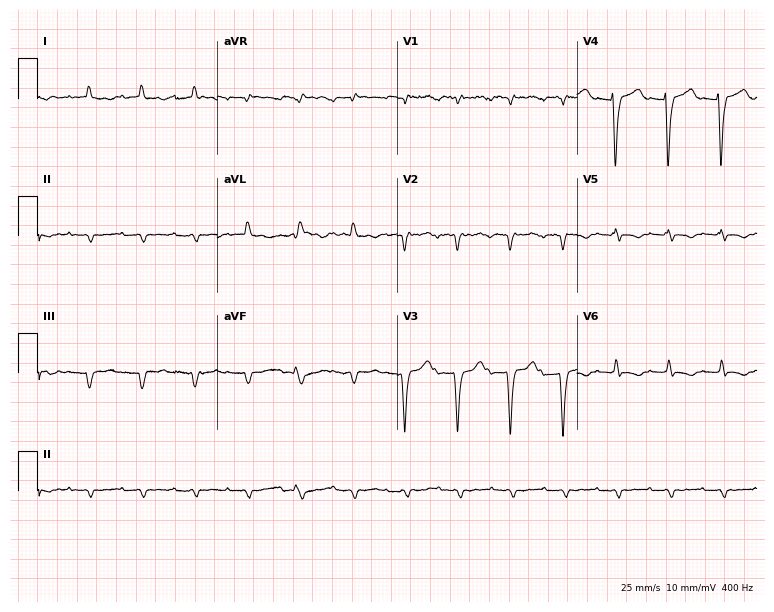
Electrocardiogram (7.3-second recording at 400 Hz), a male patient, 79 years old. Of the six screened findings (first-degree AV block, right bundle branch block (RBBB), left bundle branch block (LBBB), sinus bradycardia, atrial fibrillation (AF), sinus tachycardia), none is recorded.